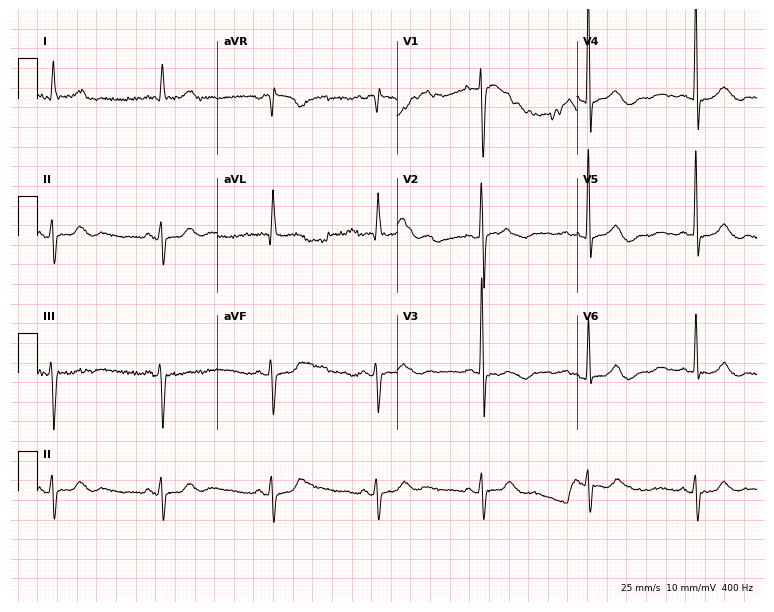
Standard 12-lead ECG recorded from a male, 76 years old (7.3-second recording at 400 Hz). None of these six findings is recorded: first-degree AV block, right bundle branch block, left bundle branch block, sinus bradycardia, atrial fibrillation, sinus tachycardia.